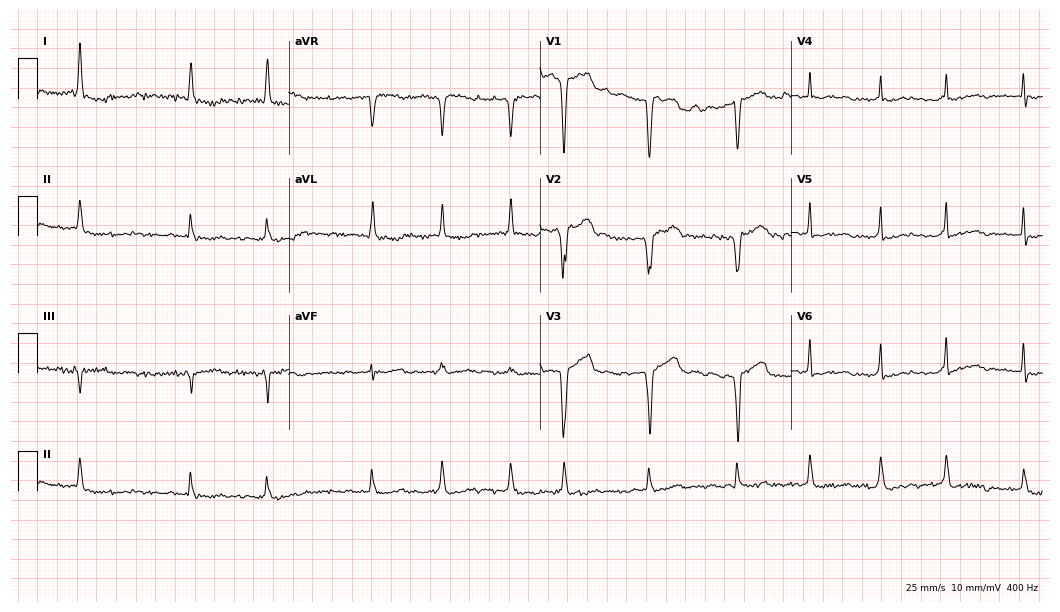
Resting 12-lead electrocardiogram (10.2-second recording at 400 Hz). Patient: a 70-year-old male. The tracing shows atrial fibrillation.